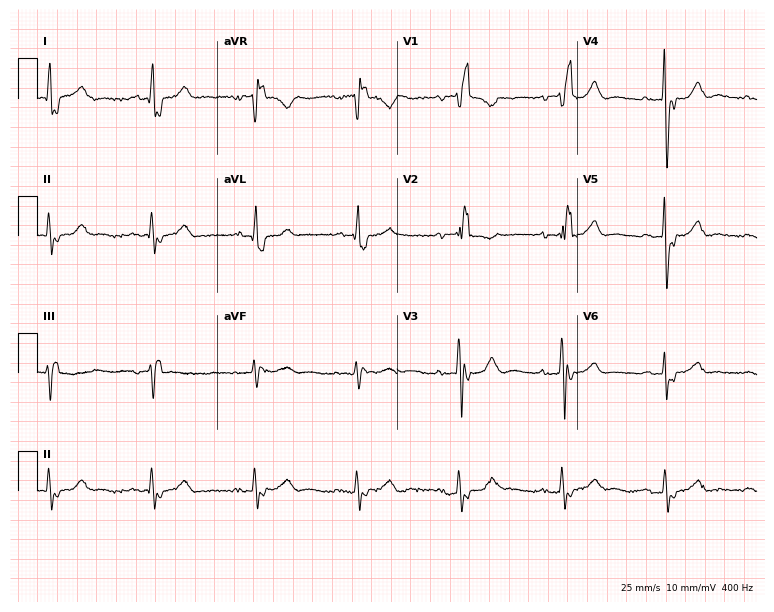
Resting 12-lead electrocardiogram. Patient: an 85-year-old woman. The tracing shows right bundle branch block (RBBB).